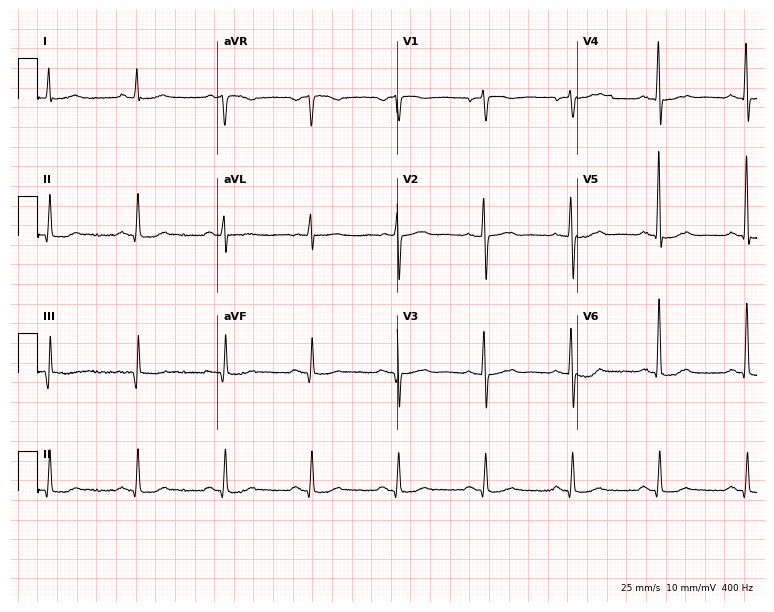
Standard 12-lead ECG recorded from a male patient, 71 years old (7.3-second recording at 400 Hz). None of these six findings is recorded: first-degree AV block, right bundle branch block, left bundle branch block, sinus bradycardia, atrial fibrillation, sinus tachycardia. Only these six findings were labelled.